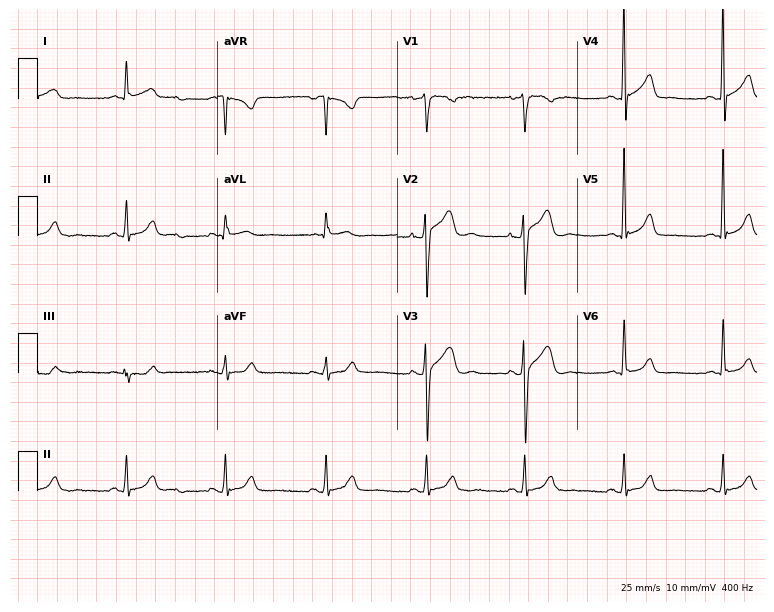
Standard 12-lead ECG recorded from a 54-year-old male. Read as a normal ECG.